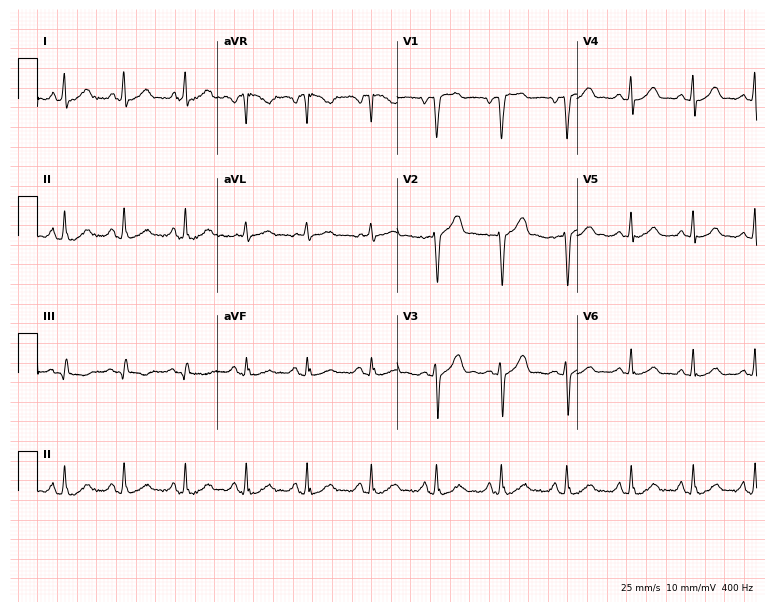
12-lead ECG from a 28-year-old female. Labelled as a normal ECG.